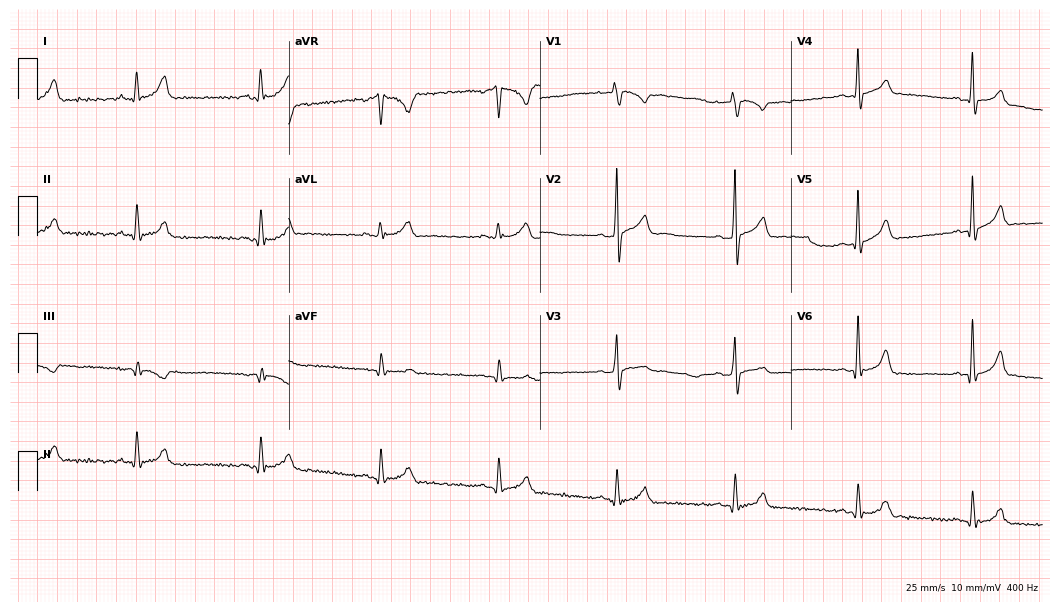
12-lead ECG from a 21-year-old man. Screened for six findings — first-degree AV block, right bundle branch block, left bundle branch block, sinus bradycardia, atrial fibrillation, sinus tachycardia — none is recorded. Only these six findings were labelled.